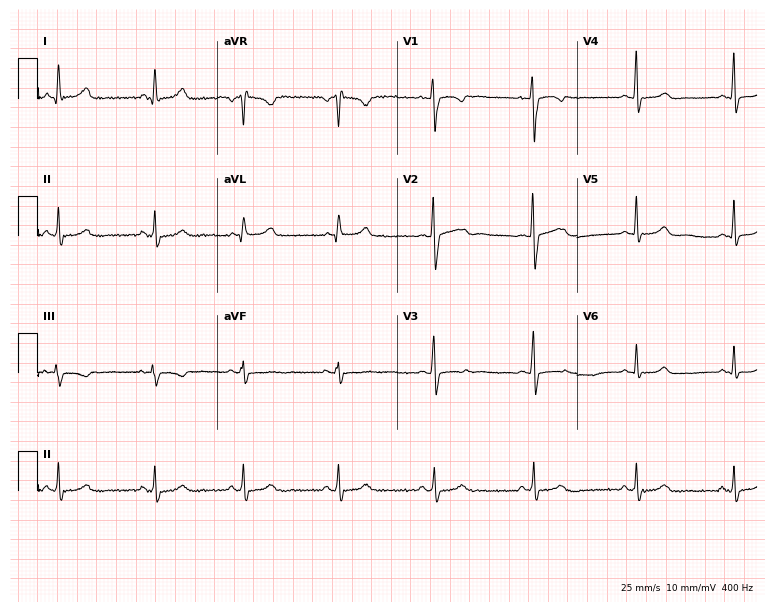
12-lead ECG (7.3-second recording at 400 Hz) from a female patient, 39 years old. Screened for six findings — first-degree AV block, right bundle branch block, left bundle branch block, sinus bradycardia, atrial fibrillation, sinus tachycardia — none is recorded. Only these six findings were labelled.